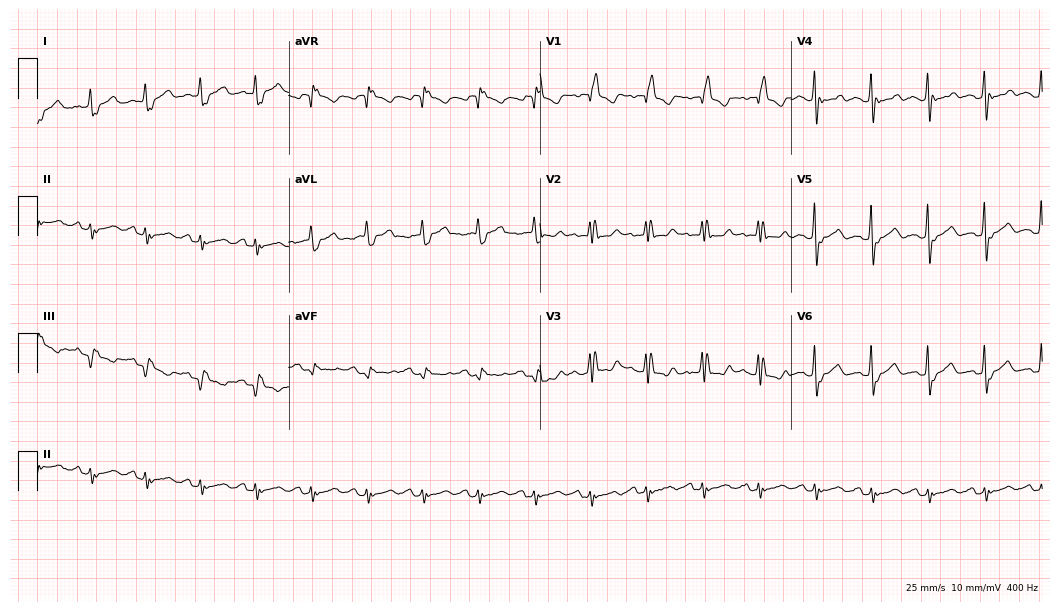
Resting 12-lead electrocardiogram. Patient: a woman, 84 years old. None of these six findings is recorded: first-degree AV block, right bundle branch block (RBBB), left bundle branch block (LBBB), sinus bradycardia, atrial fibrillation (AF), sinus tachycardia. Findings outside these six are not listed.